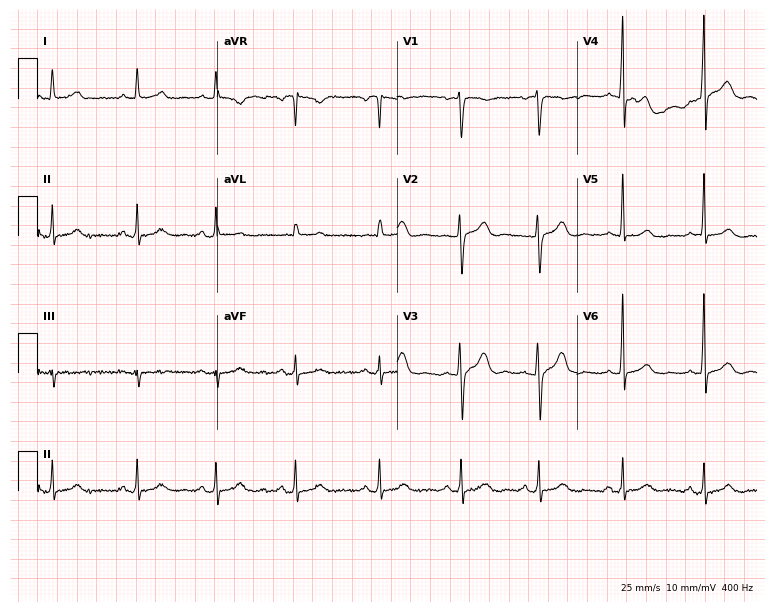
12-lead ECG from a 37-year-old female patient. Recorded interpretation: within normal limits.